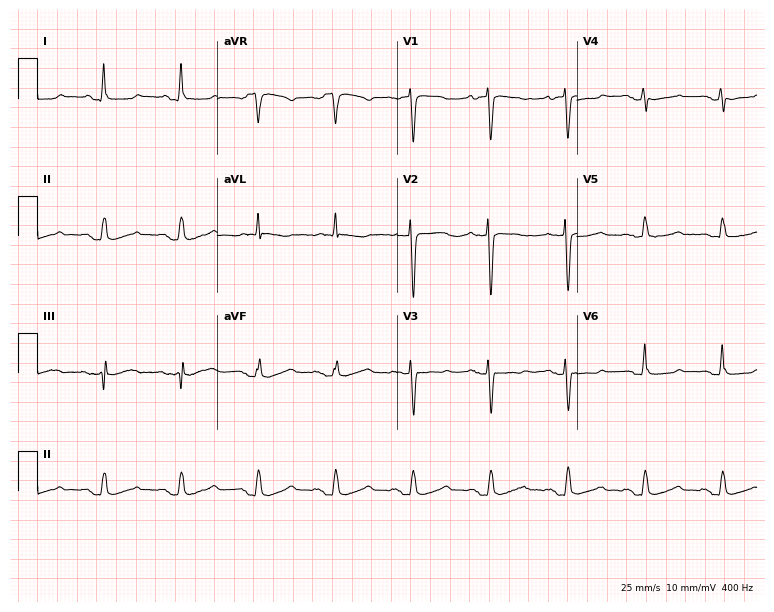
12-lead ECG from a female patient, 69 years old. No first-degree AV block, right bundle branch block (RBBB), left bundle branch block (LBBB), sinus bradycardia, atrial fibrillation (AF) or sinus tachycardia recorded for this tracing.